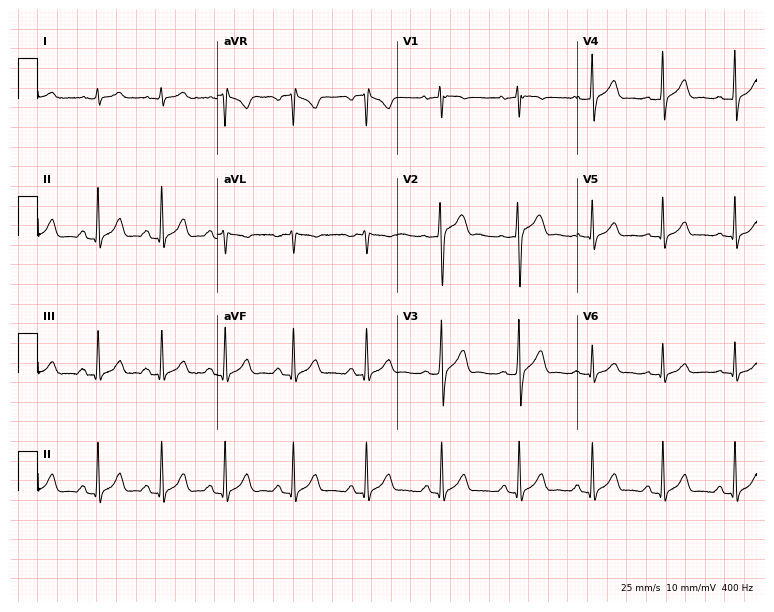
Electrocardiogram (7.3-second recording at 400 Hz), a male, 25 years old. Overall reading on record: normal ECG.